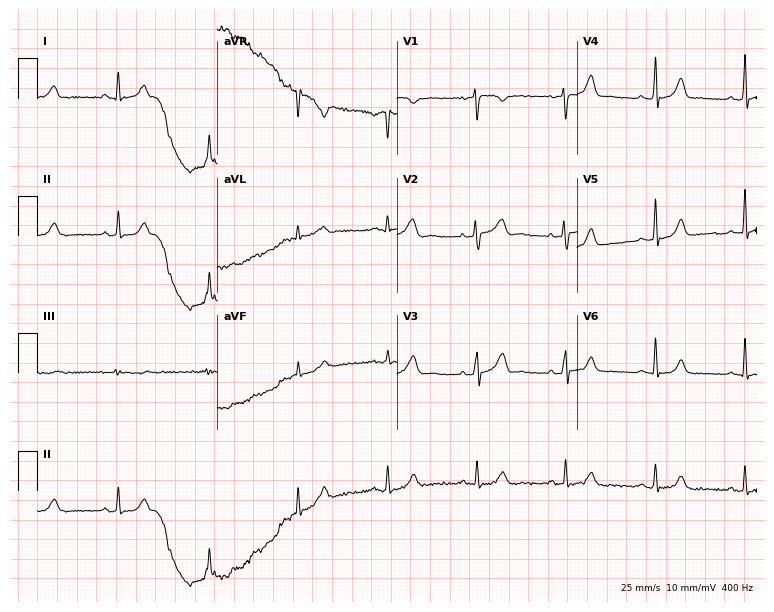
Electrocardiogram, a female, 38 years old. Of the six screened findings (first-degree AV block, right bundle branch block (RBBB), left bundle branch block (LBBB), sinus bradycardia, atrial fibrillation (AF), sinus tachycardia), none is recorded. Only these six findings were labelled.